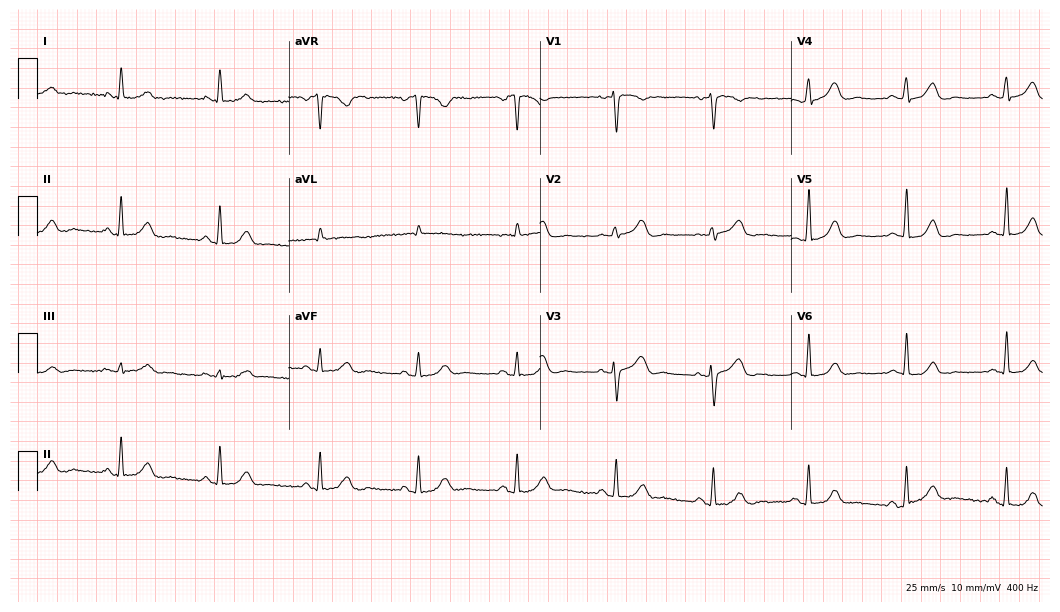
Electrocardiogram, a 50-year-old woman. Overall reading on record: normal ECG.